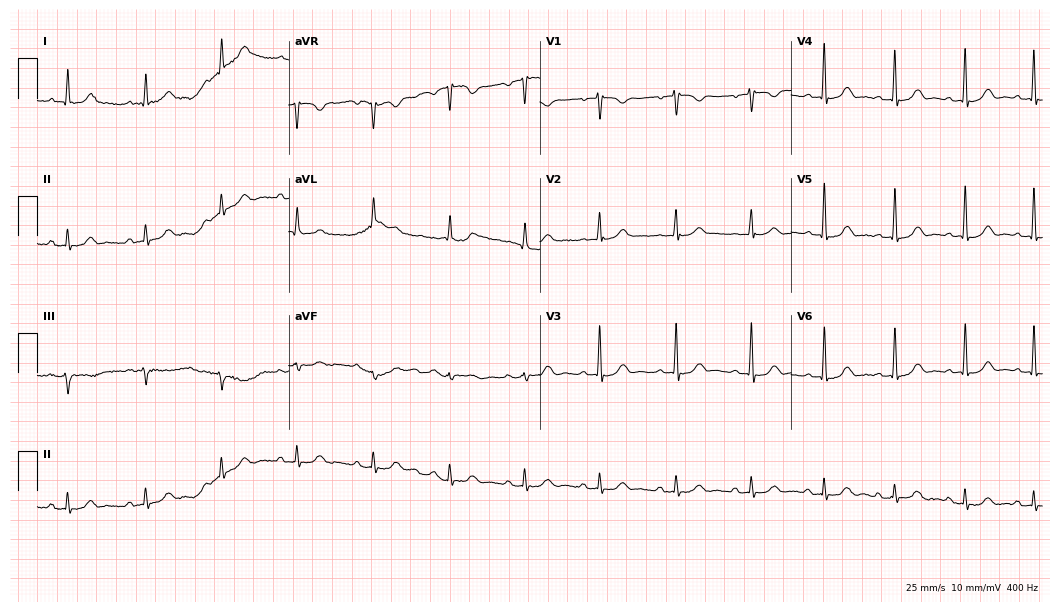
12-lead ECG from a male patient, 69 years old. Screened for six findings — first-degree AV block, right bundle branch block, left bundle branch block, sinus bradycardia, atrial fibrillation, sinus tachycardia — none is recorded. Other findings, if any, are not listed.